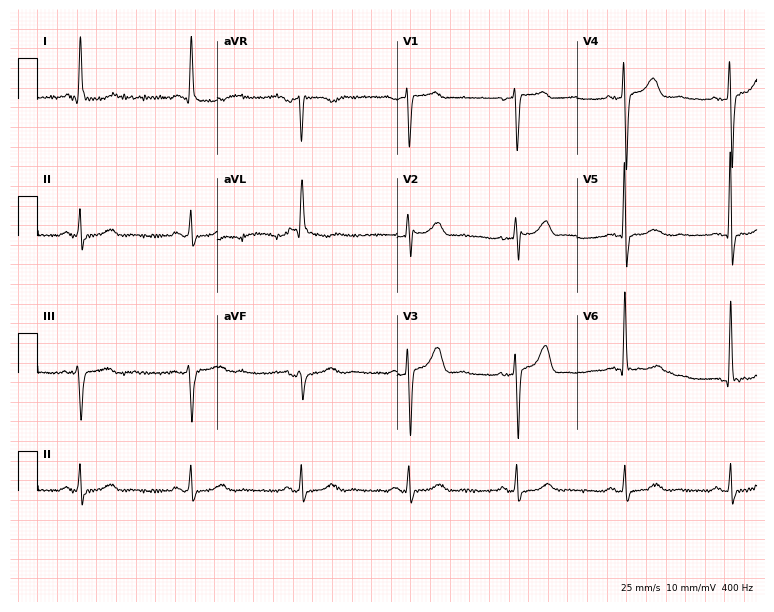
Resting 12-lead electrocardiogram. Patient: a female, 58 years old. None of these six findings is recorded: first-degree AV block, right bundle branch block (RBBB), left bundle branch block (LBBB), sinus bradycardia, atrial fibrillation (AF), sinus tachycardia.